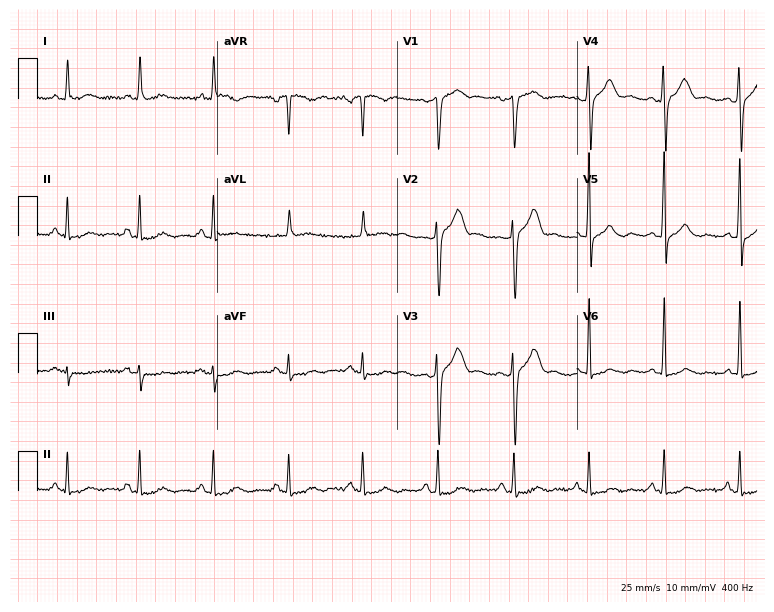
Resting 12-lead electrocardiogram. Patient: a male, 52 years old. Read as a normal ECG.